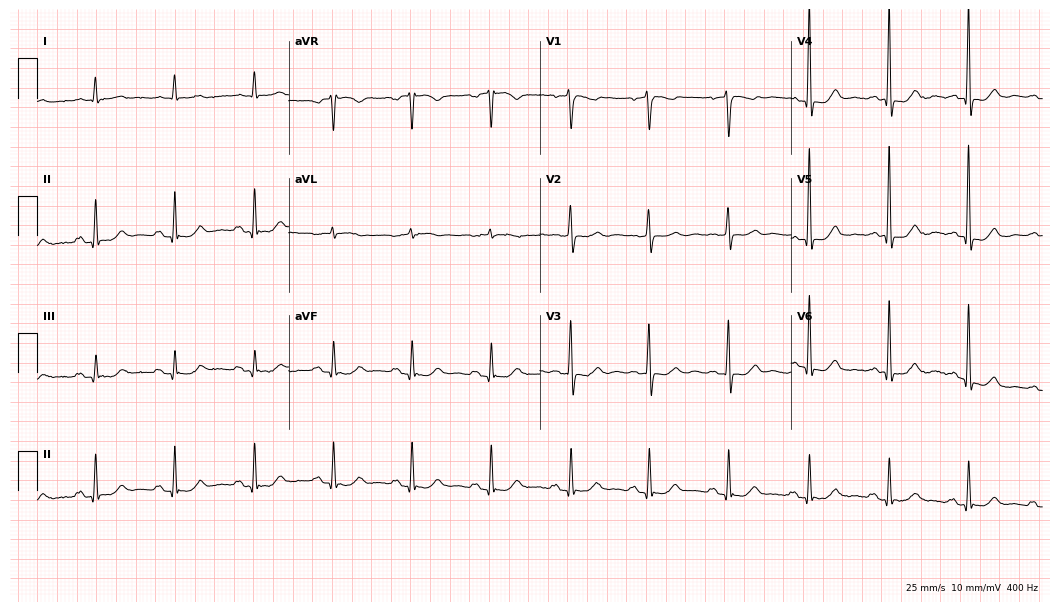
ECG (10.2-second recording at 400 Hz) — a female patient, 84 years old. Labelled as a normal ECG.